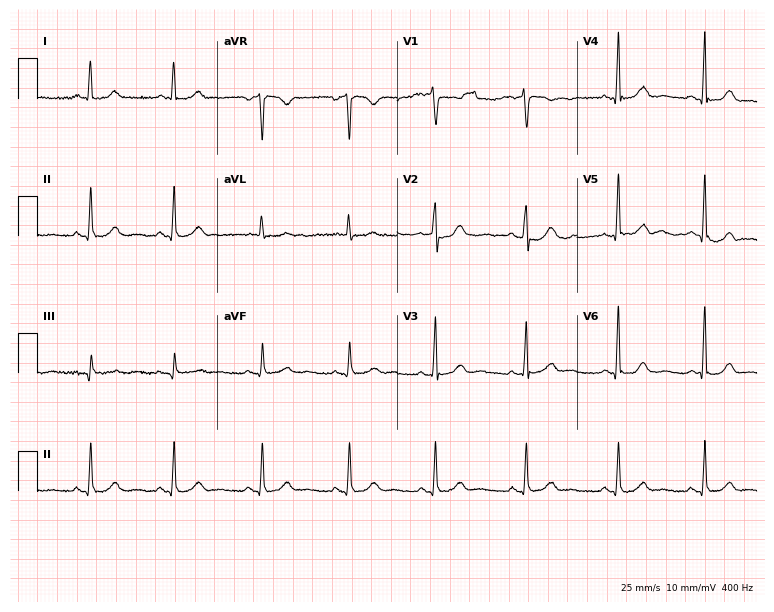
12-lead ECG from a female, 66 years old (7.3-second recording at 400 Hz). No first-degree AV block, right bundle branch block (RBBB), left bundle branch block (LBBB), sinus bradycardia, atrial fibrillation (AF) or sinus tachycardia recorded for this tracing.